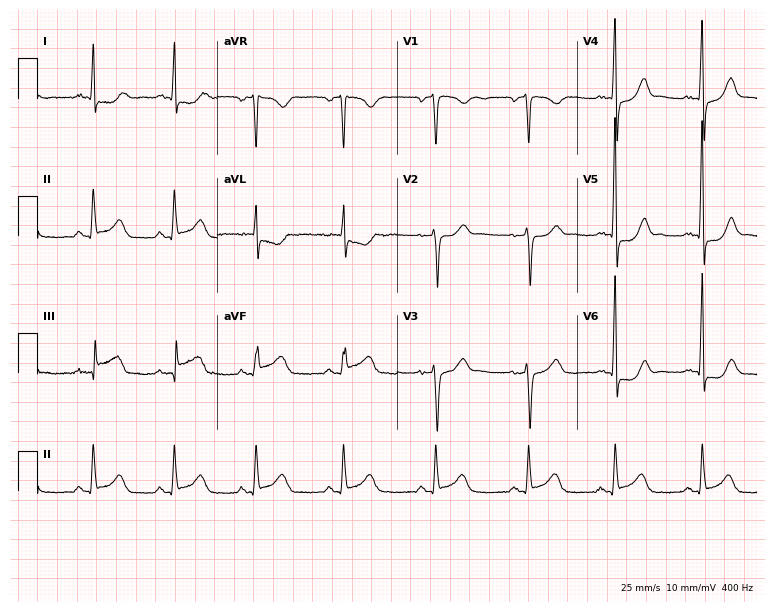
Electrocardiogram (7.3-second recording at 400 Hz), a 65-year-old male. Of the six screened findings (first-degree AV block, right bundle branch block, left bundle branch block, sinus bradycardia, atrial fibrillation, sinus tachycardia), none is recorded.